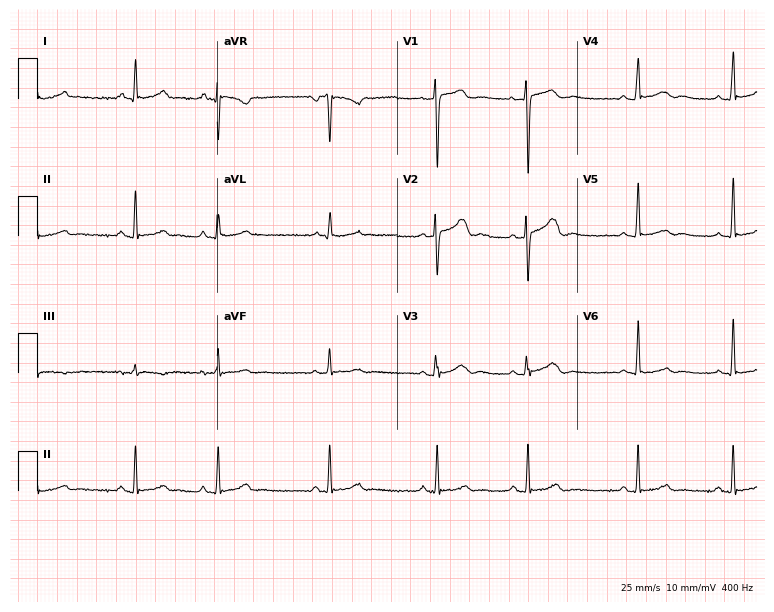
Standard 12-lead ECG recorded from a woman, 24 years old. Read as a normal ECG.